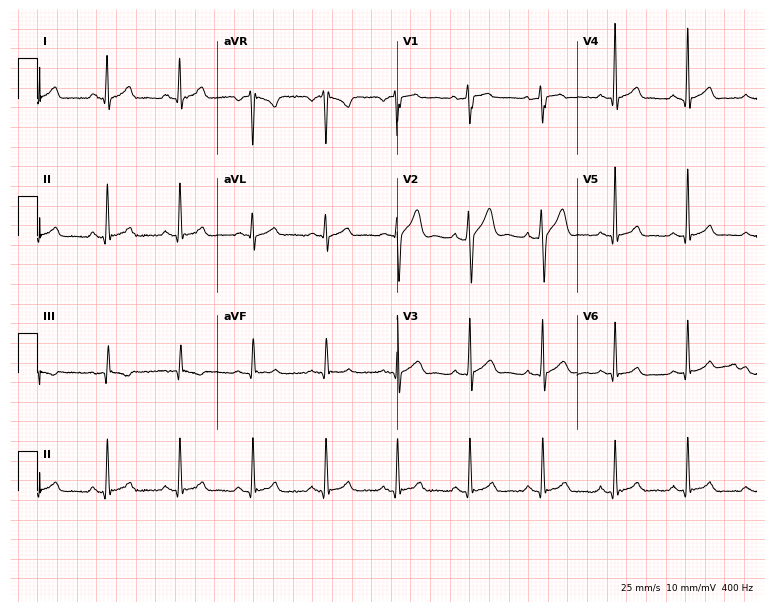
12-lead ECG (7.3-second recording at 400 Hz) from a 31-year-old male patient. Labelled as a normal ECG.